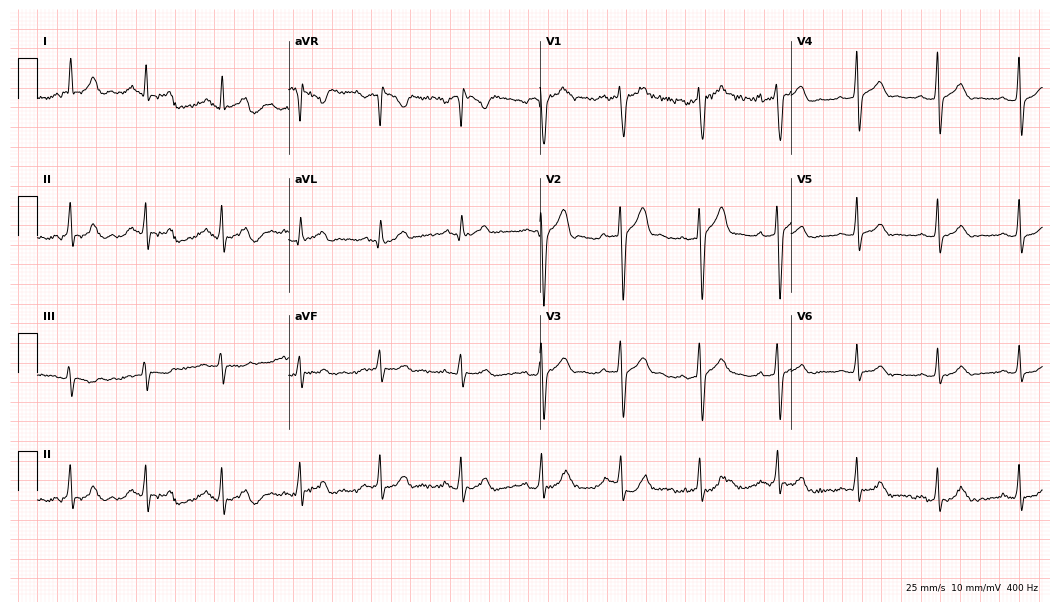
Standard 12-lead ECG recorded from a 19-year-old woman (10.2-second recording at 400 Hz). Read as a normal ECG.